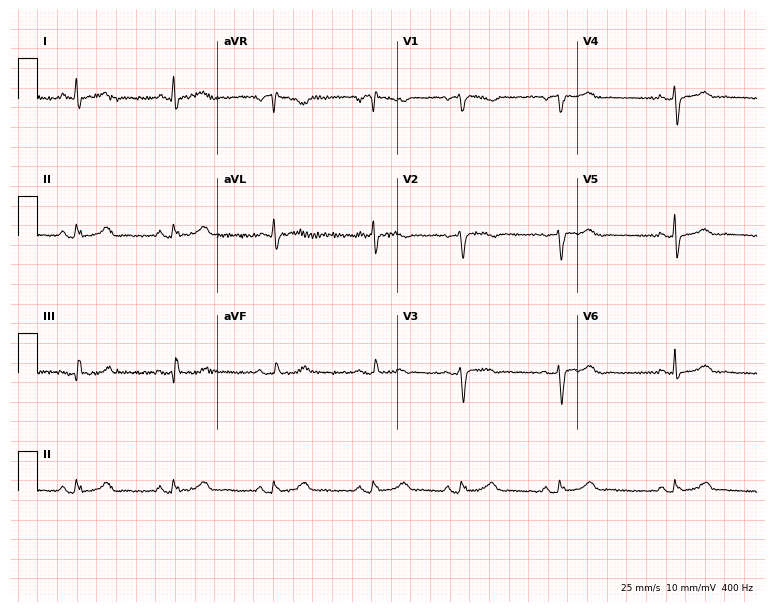
12-lead ECG from a female patient, 58 years old. Screened for six findings — first-degree AV block, right bundle branch block, left bundle branch block, sinus bradycardia, atrial fibrillation, sinus tachycardia — none is recorded.